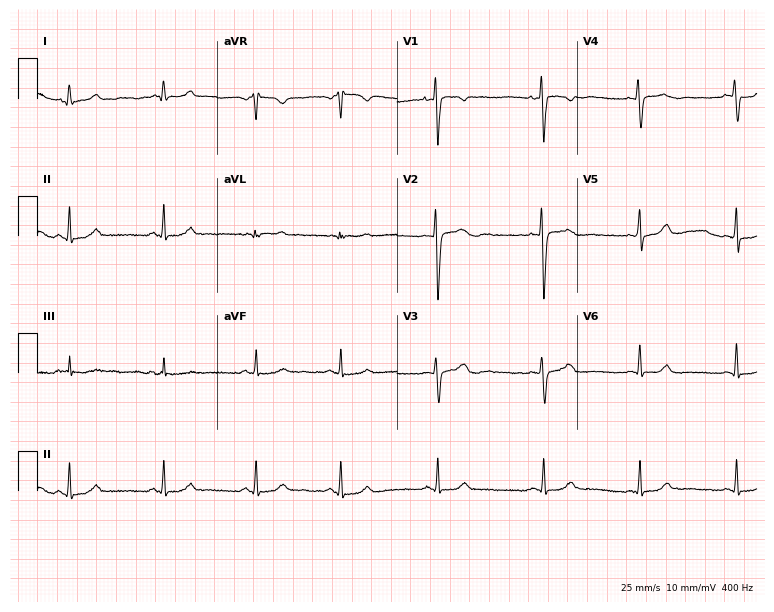
12-lead ECG from a woman, 32 years old. Labelled as a normal ECG.